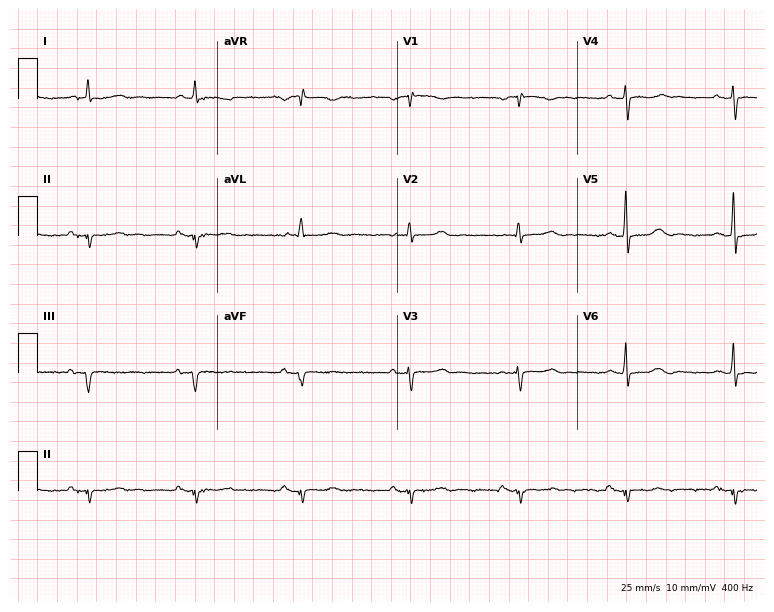
ECG (7.3-second recording at 400 Hz) — a female patient, 69 years old. Screened for six findings — first-degree AV block, right bundle branch block, left bundle branch block, sinus bradycardia, atrial fibrillation, sinus tachycardia — none is recorded. Findings outside these six are not listed.